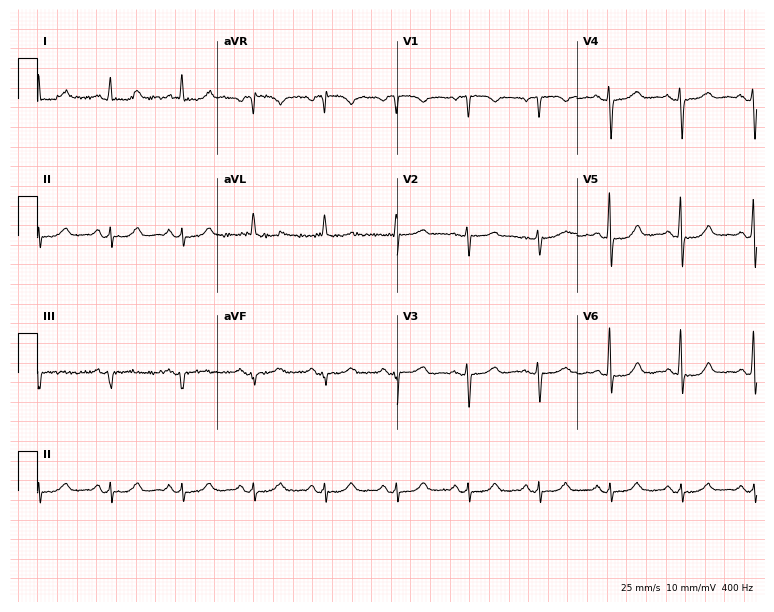
Standard 12-lead ECG recorded from a 75-year-old woman. None of these six findings is recorded: first-degree AV block, right bundle branch block, left bundle branch block, sinus bradycardia, atrial fibrillation, sinus tachycardia.